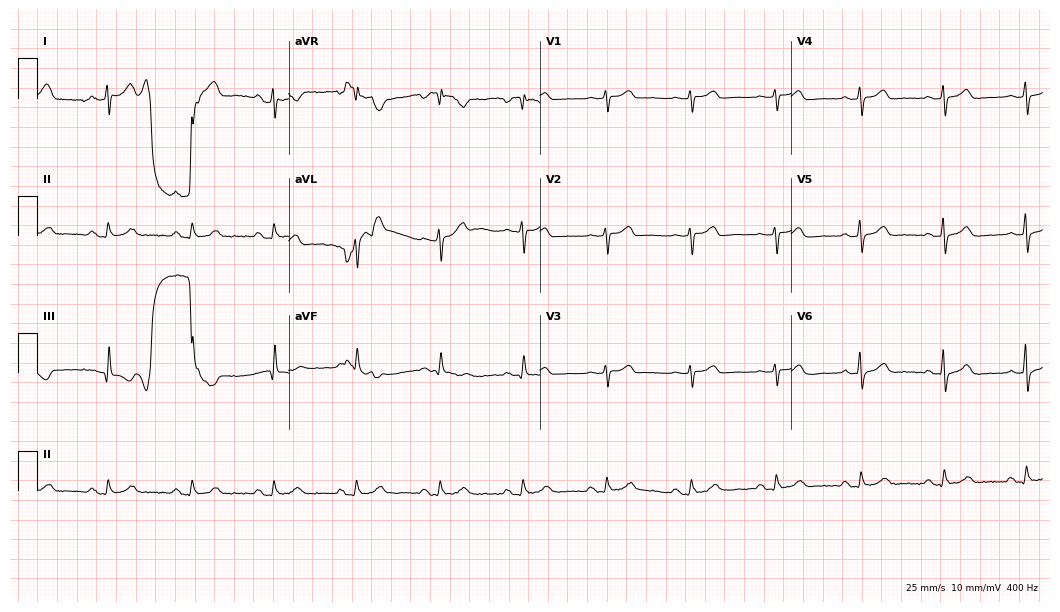
12-lead ECG (10.2-second recording at 400 Hz) from a male patient, 60 years old. Screened for six findings — first-degree AV block, right bundle branch block (RBBB), left bundle branch block (LBBB), sinus bradycardia, atrial fibrillation (AF), sinus tachycardia — none is recorded. Findings outside these six are not listed.